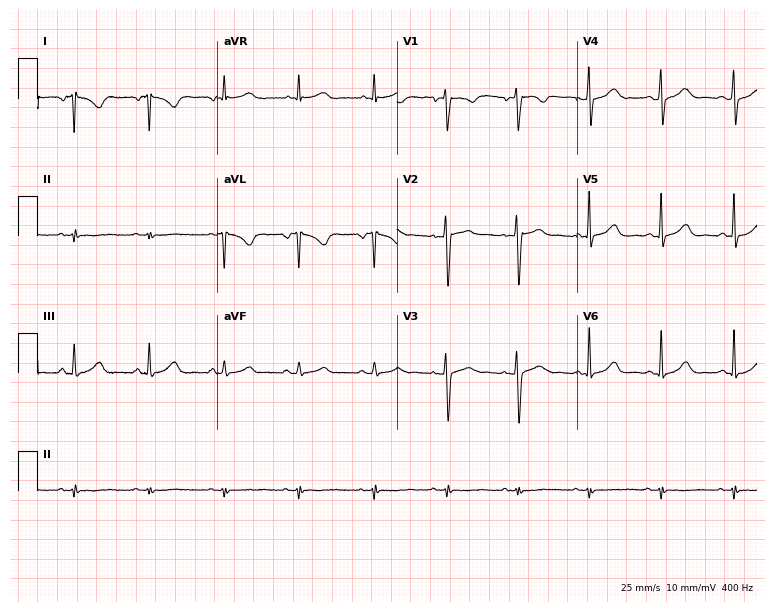
Resting 12-lead electrocardiogram (7.3-second recording at 400 Hz). Patient: a female, 37 years old. None of these six findings is recorded: first-degree AV block, right bundle branch block, left bundle branch block, sinus bradycardia, atrial fibrillation, sinus tachycardia.